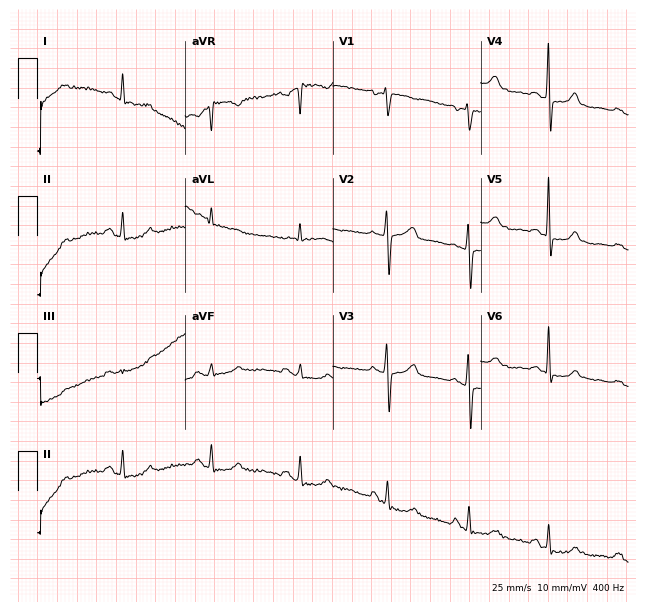
ECG (6-second recording at 400 Hz) — a 57-year-old female. Labelled as a normal ECG.